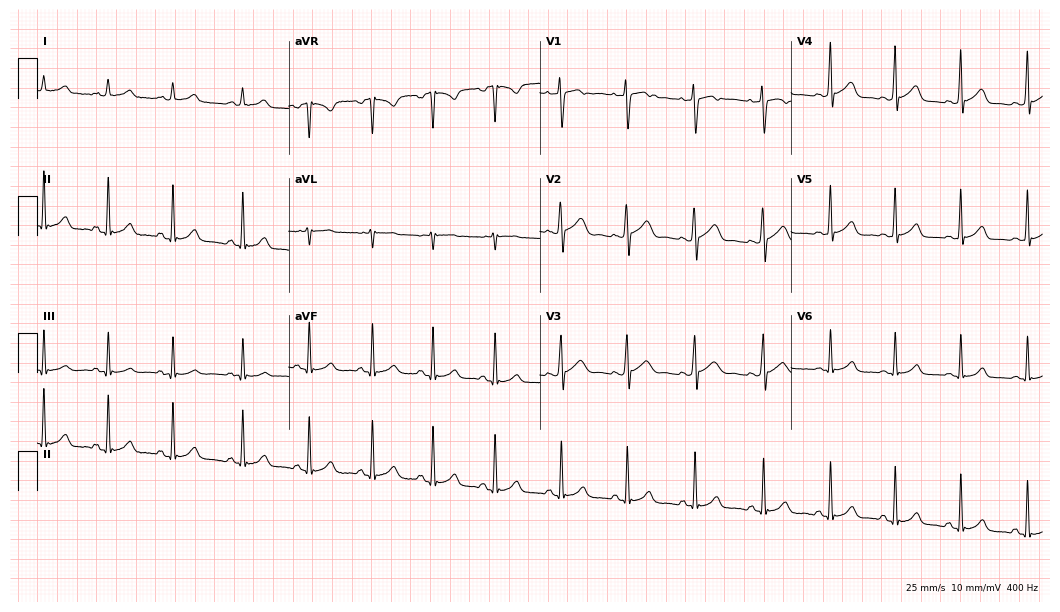
Resting 12-lead electrocardiogram (10.2-second recording at 400 Hz). Patient: an 18-year-old woman. None of these six findings is recorded: first-degree AV block, right bundle branch block, left bundle branch block, sinus bradycardia, atrial fibrillation, sinus tachycardia.